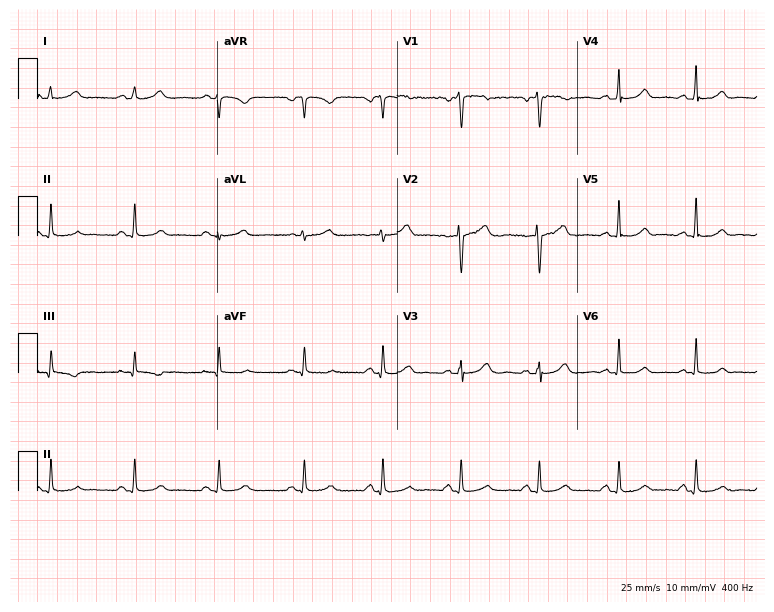
Resting 12-lead electrocardiogram. Patient: a 45-year-old female. Read as a normal ECG.